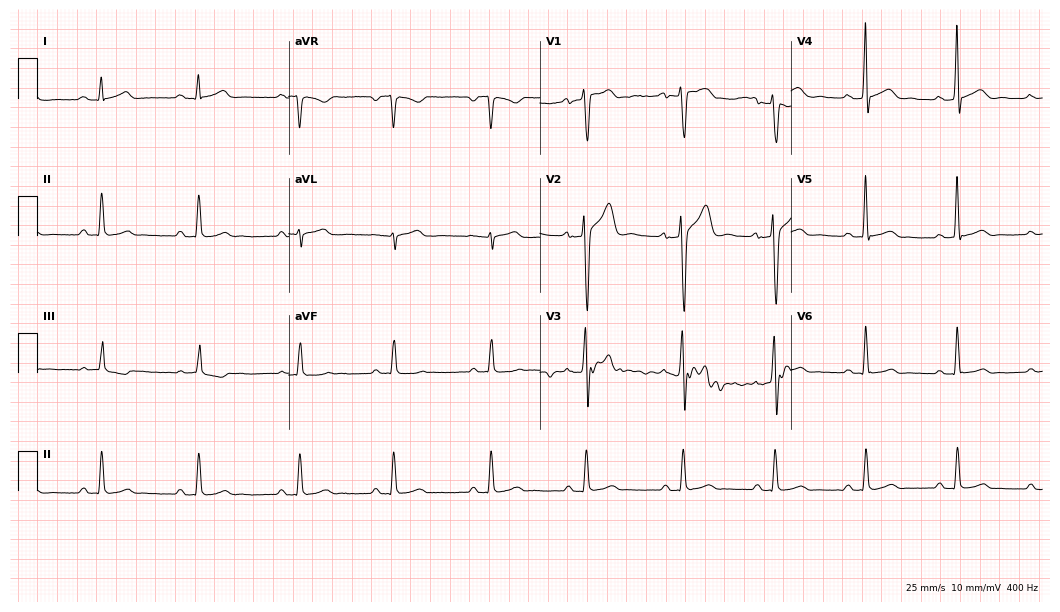
ECG — a male, 26 years old. Screened for six findings — first-degree AV block, right bundle branch block, left bundle branch block, sinus bradycardia, atrial fibrillation, sinus tachycardia — none is recorded. Other findings, if any, are not listed.